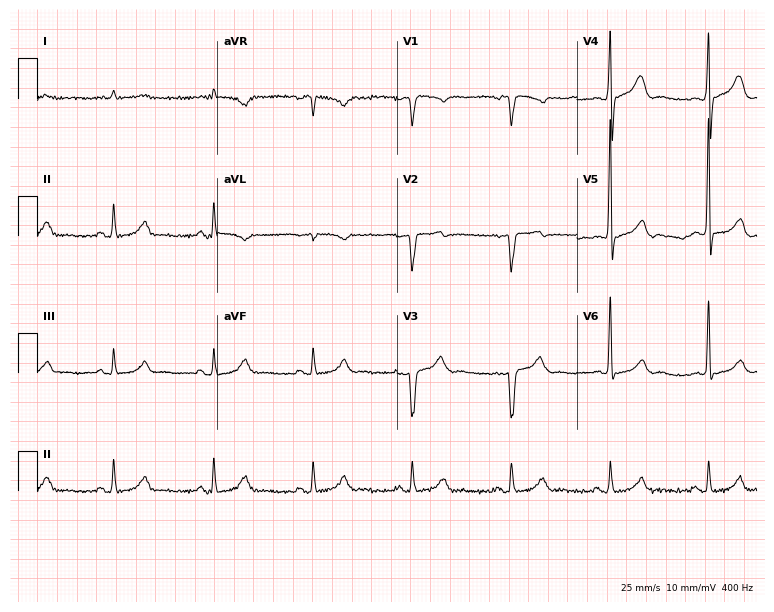
Electrocardiogram (7.3-second recording at 400 Hz), a 73-year-old male patient. Overall reading on record: normal ECG.